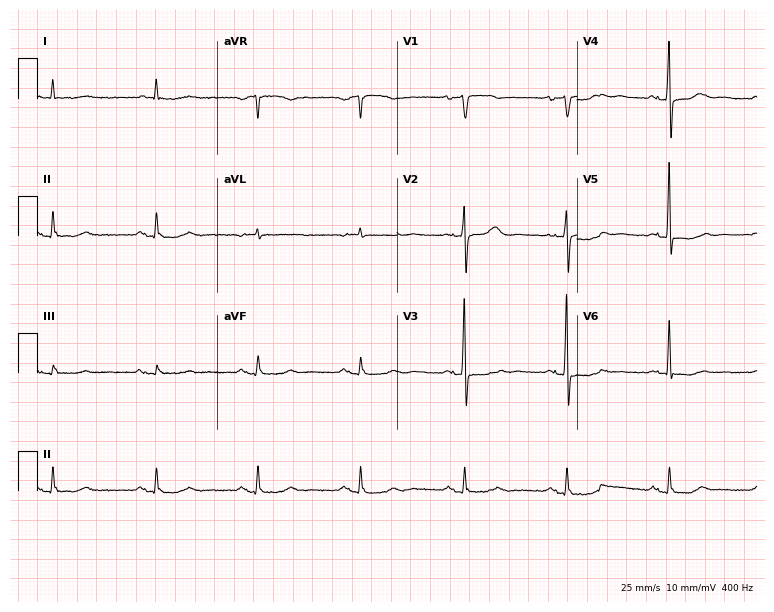
Standard 12-lead ECG recorded from an 81-year-old male. None of these six findings is recorded: first-degree AV block, right bundle branch block, left bundle branch block, sinus bradycardia, atrial fibrillation, sinus tachycardia. Only these six findings were labelled.